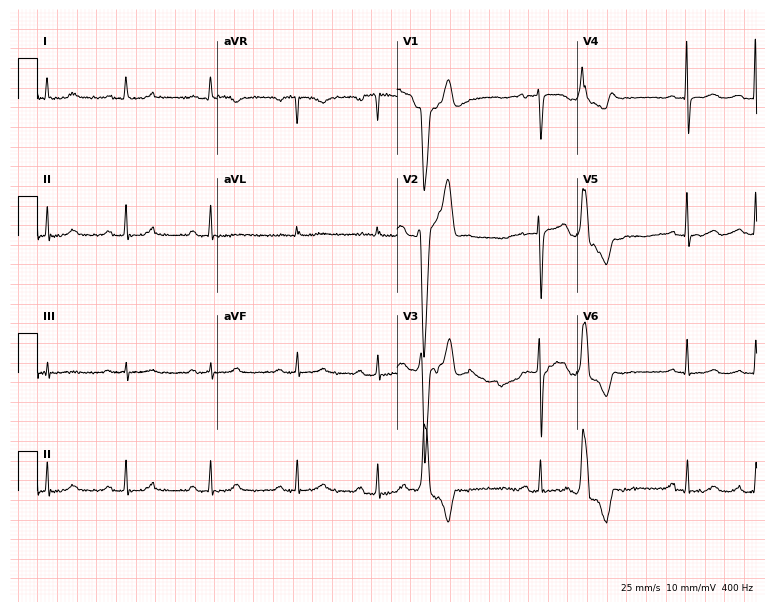
12-lead ECG from a 35-year-old woman. Labelled as a normal ECG.